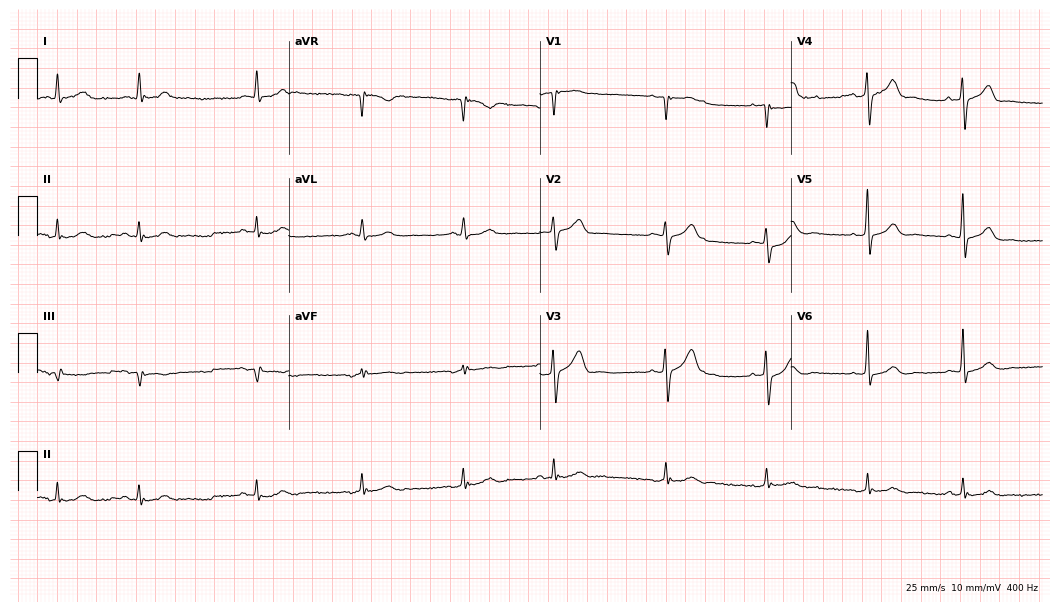
Standard 12-lead ECG recorded from an 83-year-old male. None of these six findings is recorded: first-degree AV block, right bundle branch block, left bundle branch block, sinus bradycardia, atrial fibrillation, sinus tachycardia.